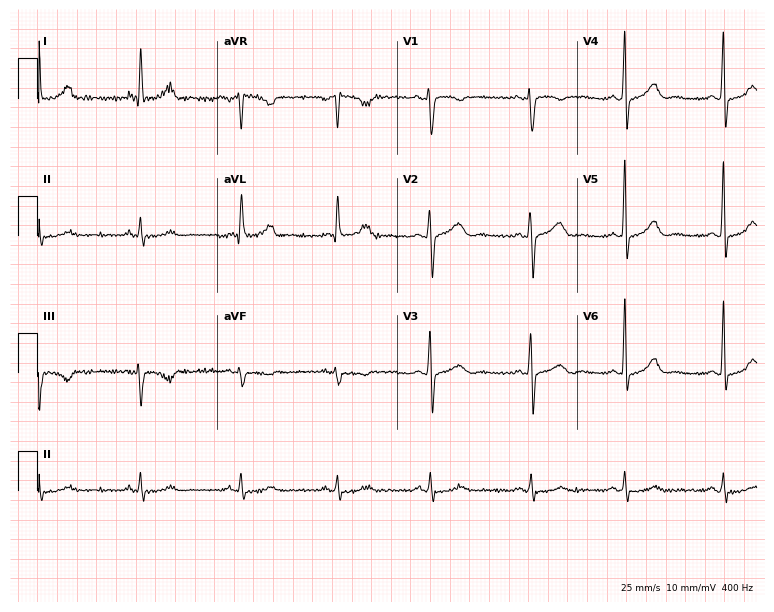
12-lead ECG from a female, 47 years old. No first-degree AV block, right bundle branch block, left bundle branch block, sinus bradycardia, atrial fibrillation or sinus tachycardia recorded for this tracing.